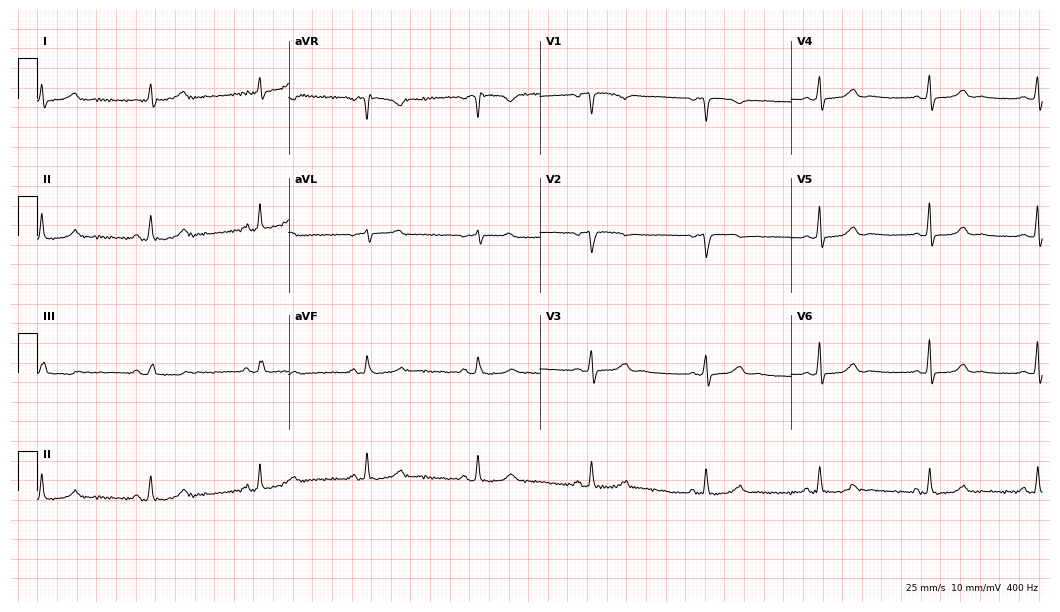
12-lead ECG (10.2-second recording at 400 Hz) from a 53-year-old woman. Labelled as a normal ECG.